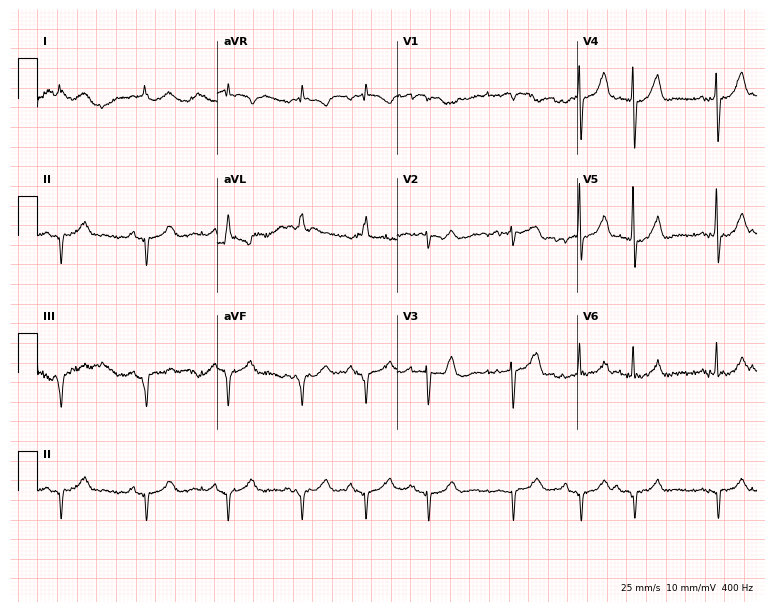
Electrocardiogram, a male, 65 years old. Of the six screened findings (first-degree AV block, right bundle branch block, left bundle branch block, sinus bradycardia, atrial fibrillation, sinus tachycardia), none is recorded.